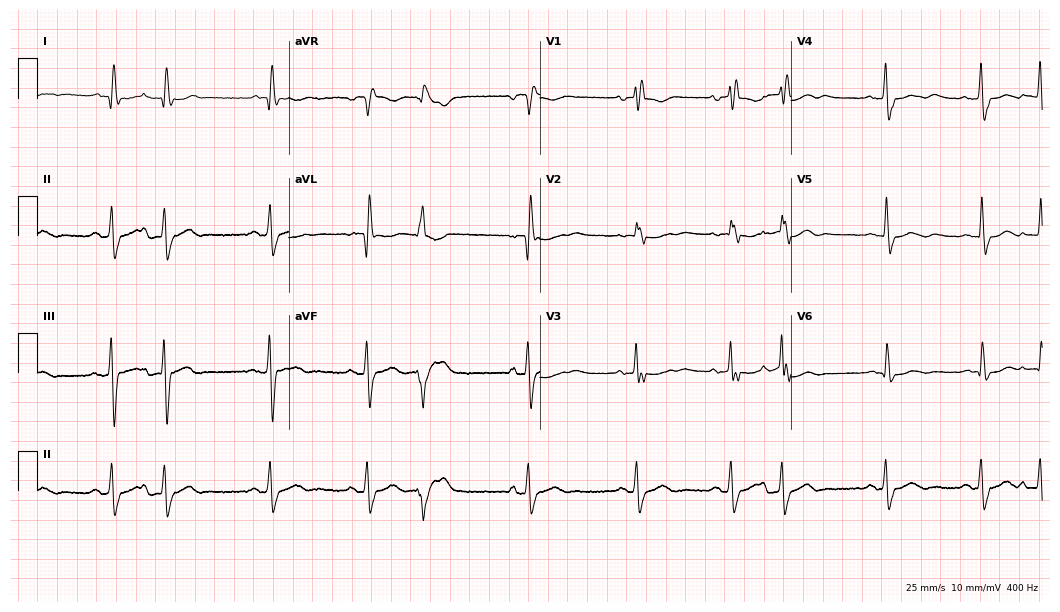
12-lead ECG (10.2-second recording at 400 Hz) from a female, 75 years old. Findings include right bundle branch block.